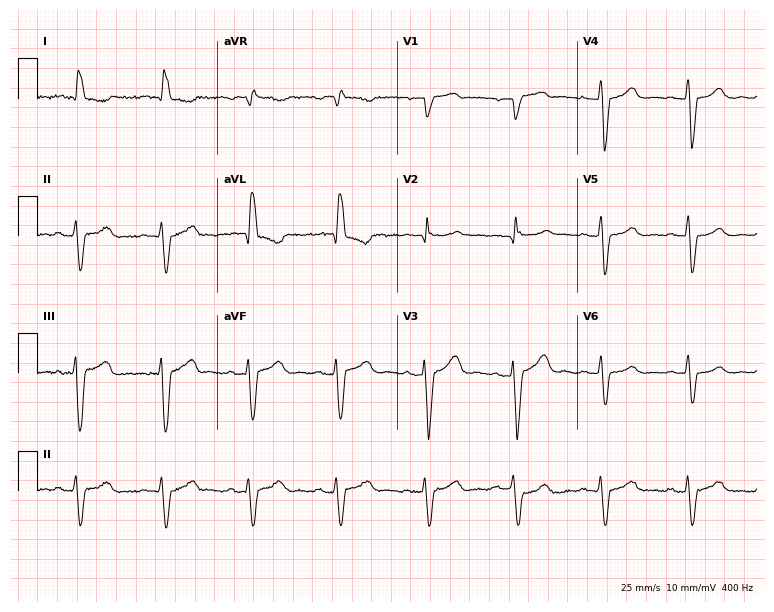
12-lead ECG from a woman, 69 years old. Findings include right bundle branch block.